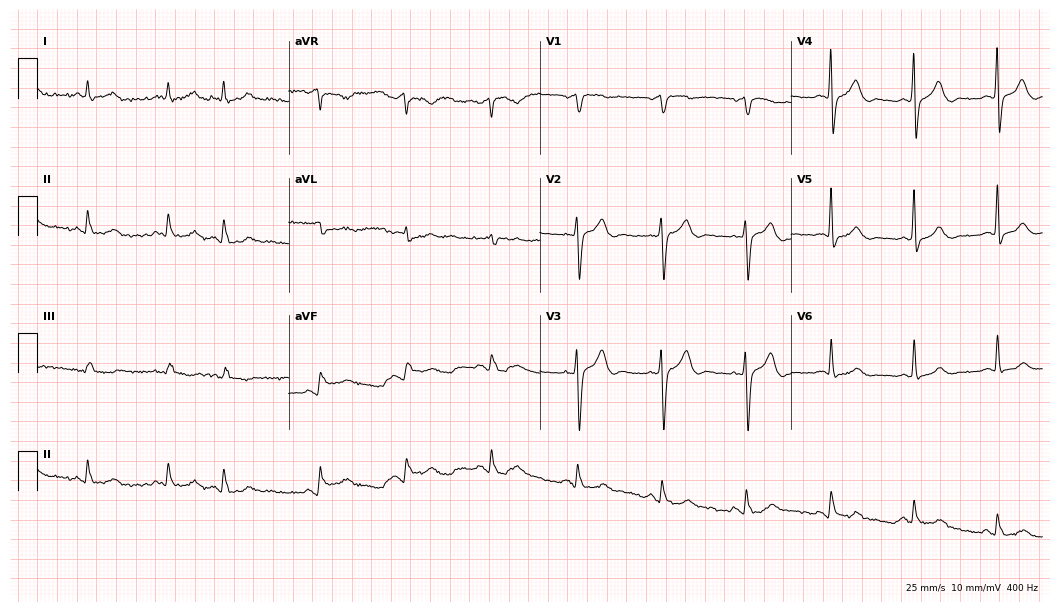
ECG — a 74-year-old male patient. Screened for six findings — first-degree AV block, right bundle branch block, left bundle branch block, sinus bradycardia, atrial fibrillation, sinus tachycardia — none is recorded.